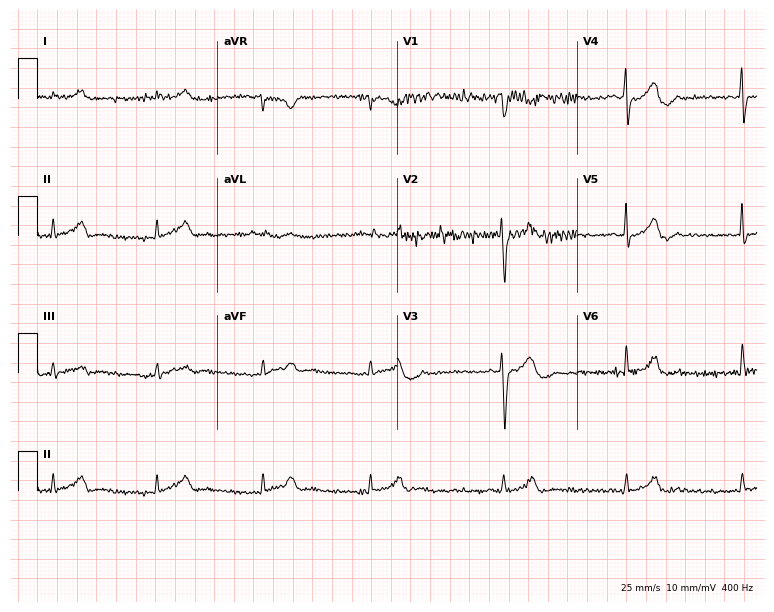
ECG — a male, 52 years old. Labelled as a normal ECG.